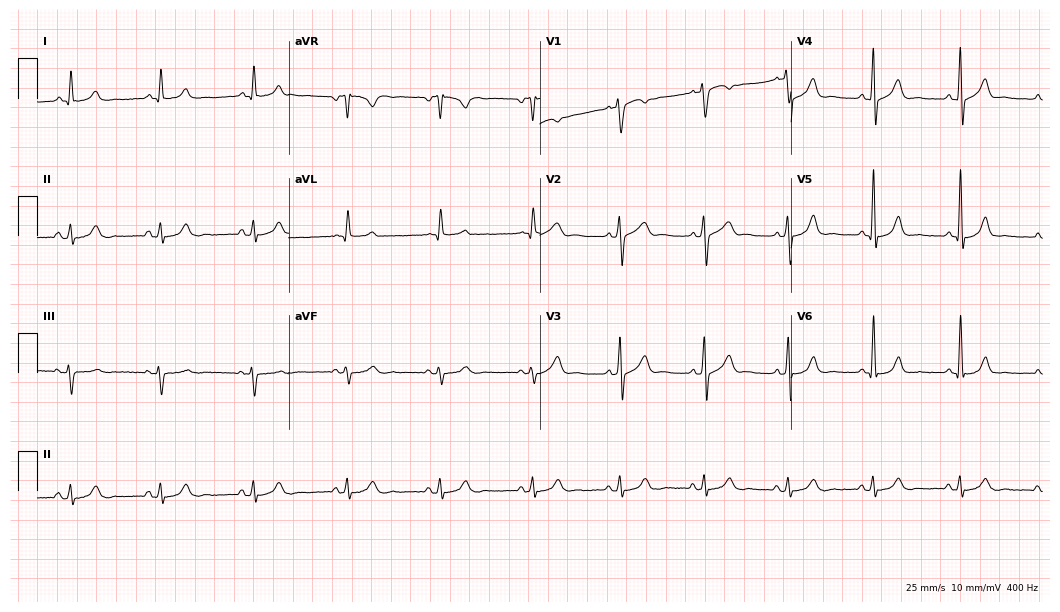
Electrocardiogram (10.2-second recording at 400 Hz), a 62-year-old male patient. Of the six screened findings (first-degree AV block, right bundle branch block (RBBB), left bundle branch block (LBBB), sinus bradycardia, atrial fibrillation (AF), sinus tachycardia), none is recorded. Only these six findings were labelled.